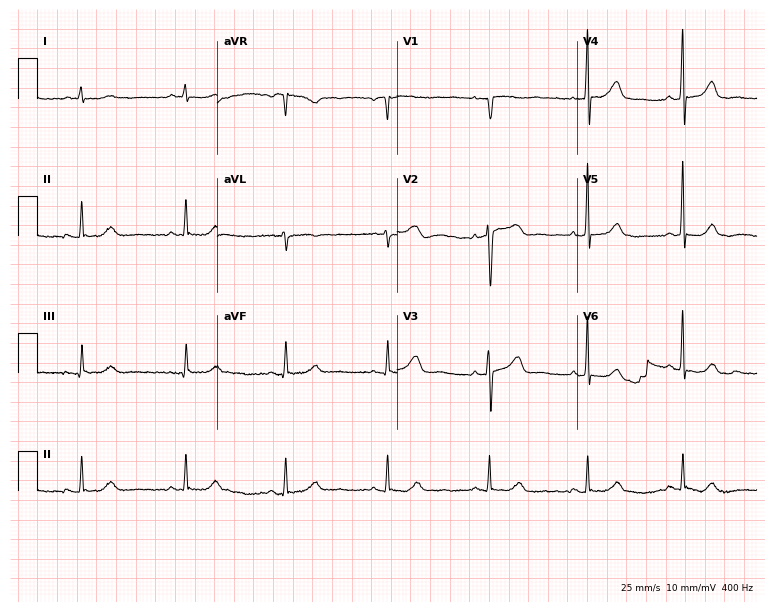
ECG (7.3-second recording at 400 Hz) — a female, 51 years old. Labelled as a normal ECG.